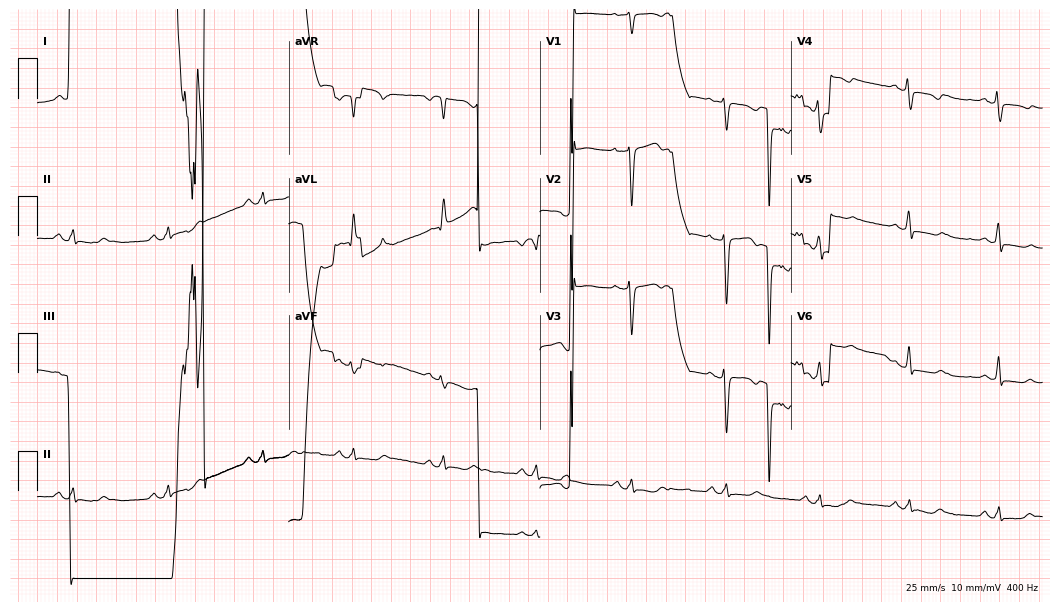
12-lead ECG from a female, 49 years old (10.2-second recording at 400 Hz). No first-degree AV block, right bundle branch block, left bundle branch block, sinus bradycardia, atrial fibrillation or sinus tachycardia recorded for this tracing. Findings outside these six are not listed.